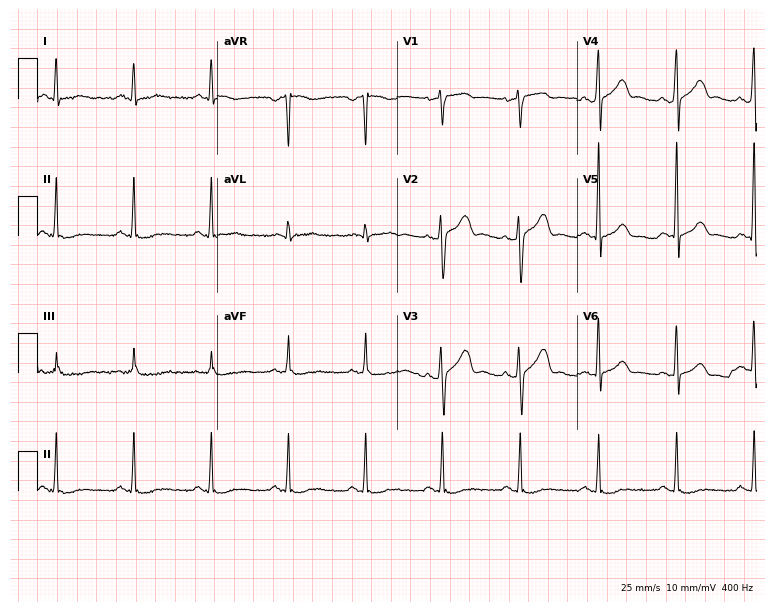
12-lead ECG (7.3-second recording at 400 Hz) from a male patient, 58 years old. Screened for six findings — first-degree AV block, right bundle branch block, left bundle branch block, sinus bradycardia, atrial fibrillation, sinus tachycardia — none is recorded.